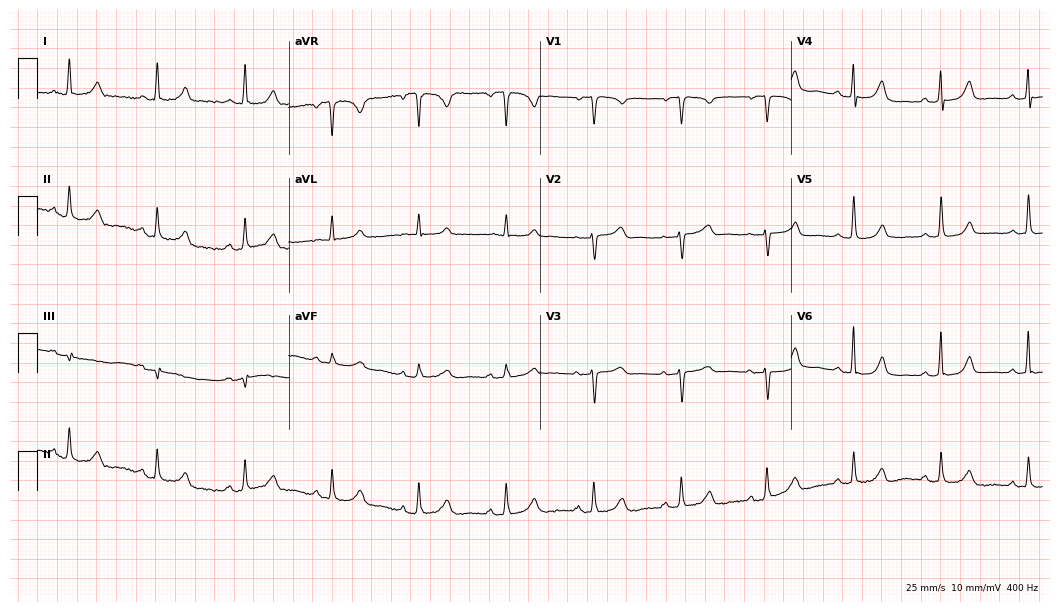
12-lead ECG from a 78-year-old female. Recorded interpretation: within normal limits.